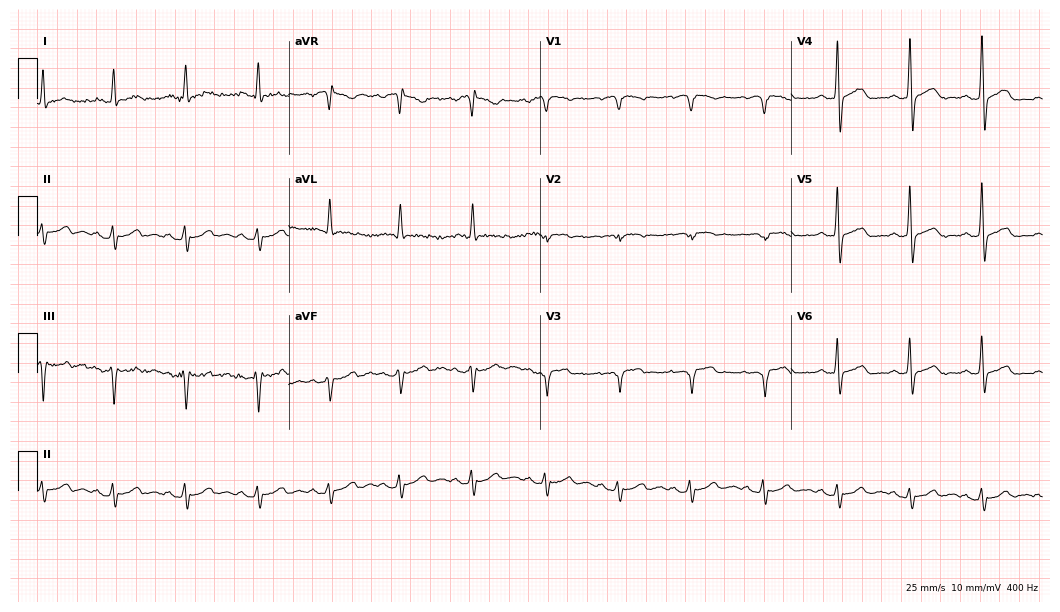
12-lead ECG from a 45-year-old man (10.2-second recording at 400 Hz). No first-degree AV block, right bundle branch block, left bundle branch block, sinus bradycardia, atrial fibrillation or sinus tachycardia recorded for this tracing.